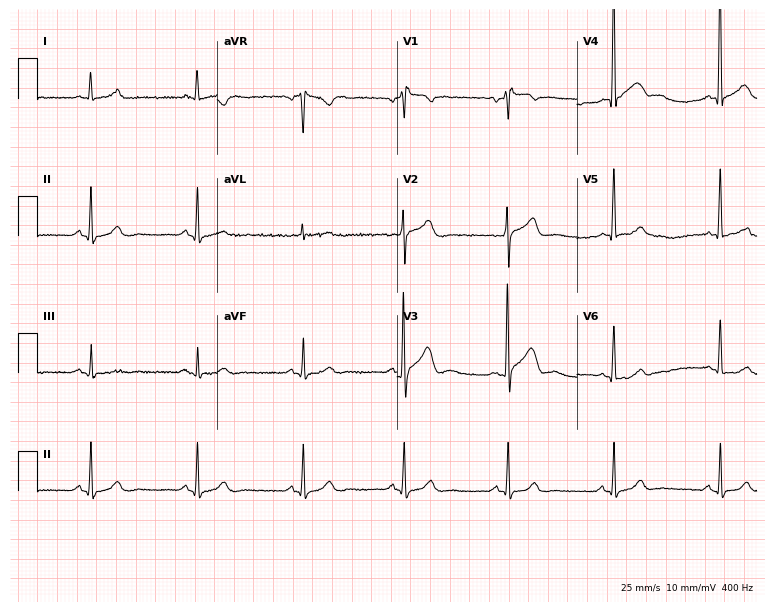
Electrocardiogram (7.3-second recording at 400 Hz), a male, 79 years old. Overall reading on record: normal ECG.